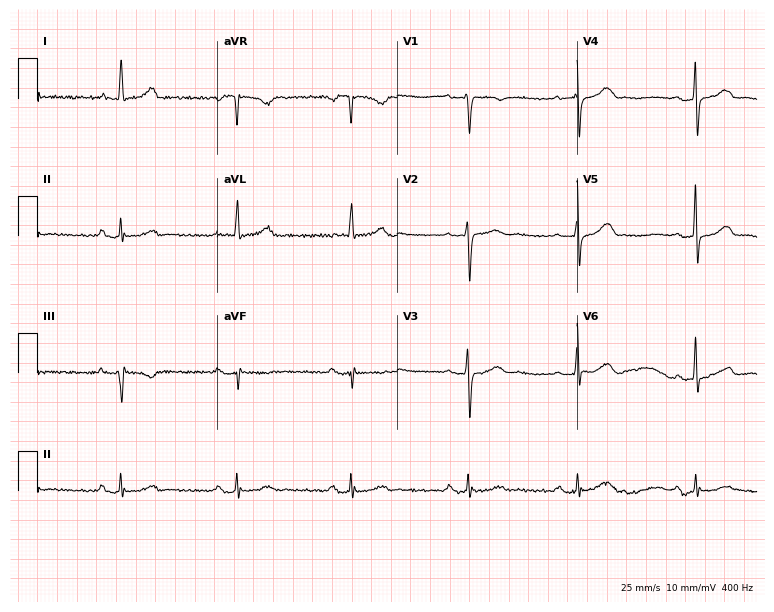
Standard 12-lead ECG recorded from a 68-year-old woman. Read as a normal ECG.